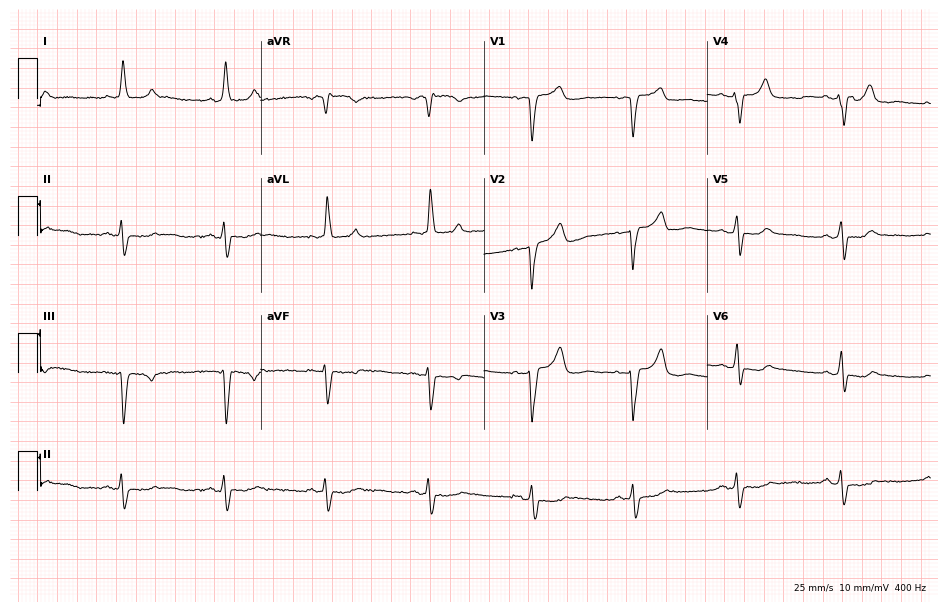
Resting 12-lead electrocardiogram. Patient: a 76-year-old female. The tracing shows left bundle branch block.